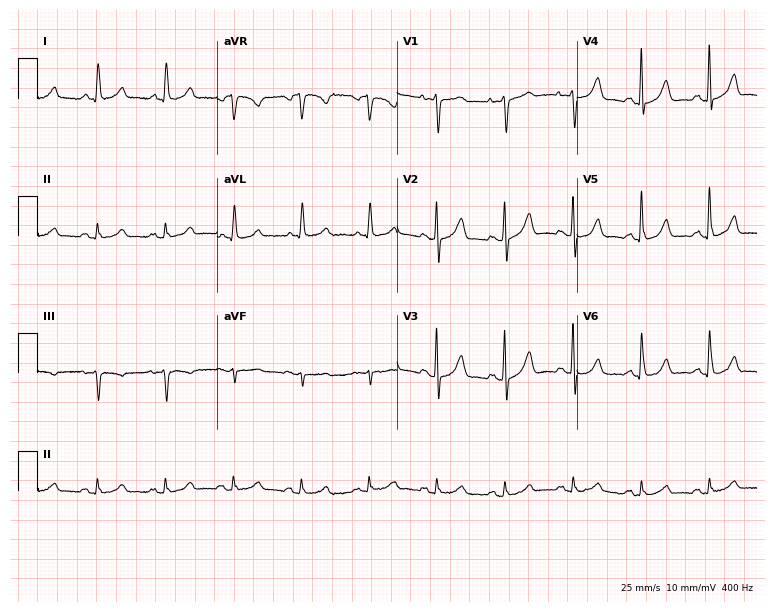
Electrocardiogram (7.3-second recording at 400 Hz), a female, 65 years old. Overall reading on record: normal ECG.